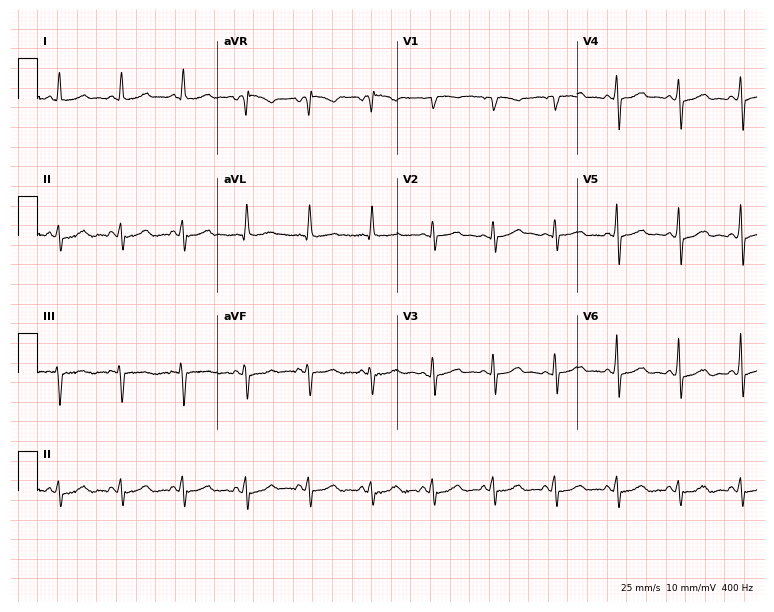
ECG (7.3-second recording at 400 Hz) — a female patient, 55 years old. Screened for six findings — first-degree AV block, right bundle branch block, left bundle branch block, sinus bradycardia, atrial fibrillation, sinus tachycardia — none is recorded. Only these six findings were labelled.